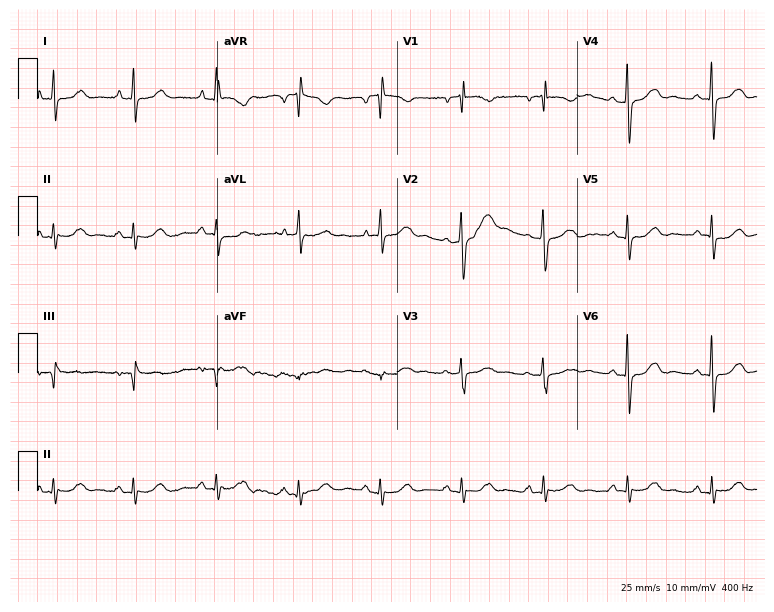
Standard 12-lead ECG recorded from a female patient, 79 years old (7.3-second recording at 400 Hz). Read as a normal ECG.